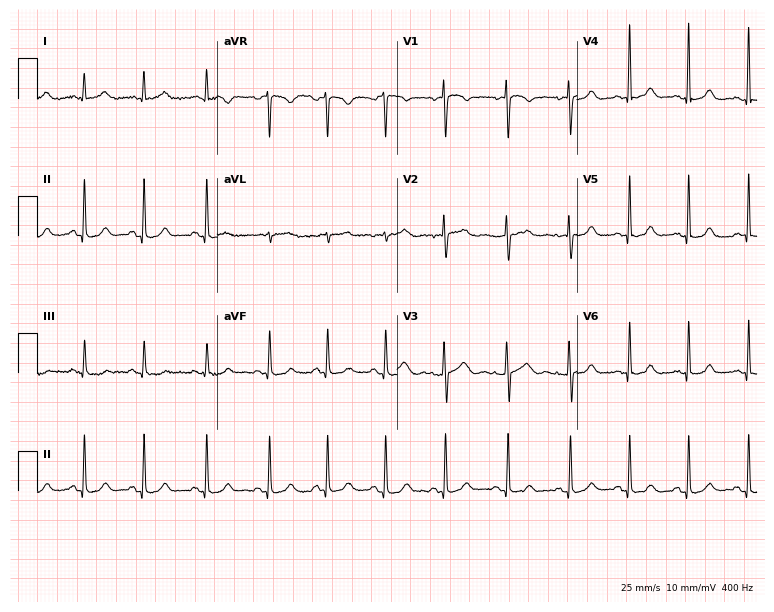
Standard 12-lead ECG recorded from a 26-year-old woman. None of these six findings is recorded: first-degree AV block, right bundle branch block, left bundle branch block, sinus bradycardia, atrial fibrillation, sinus tachycardia.